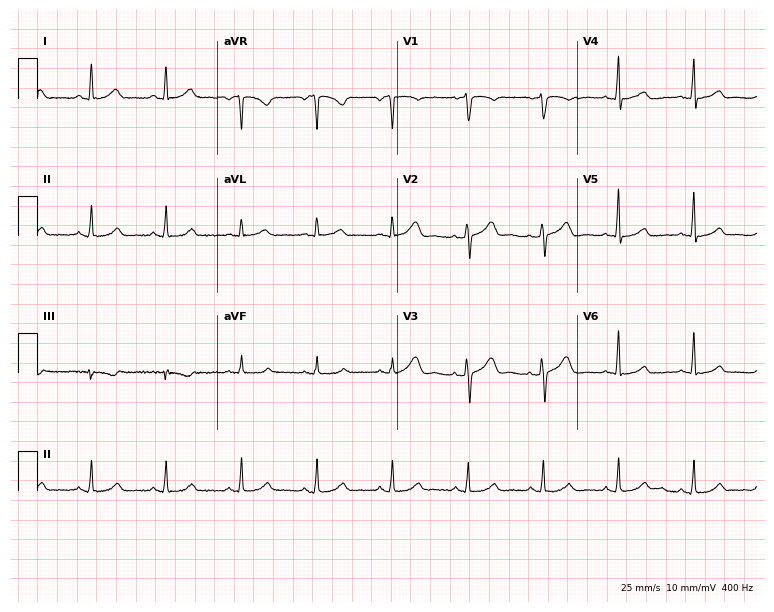
Standard 12-lead ECG recorded from a 51-year-old female. Read as a normal ECG.